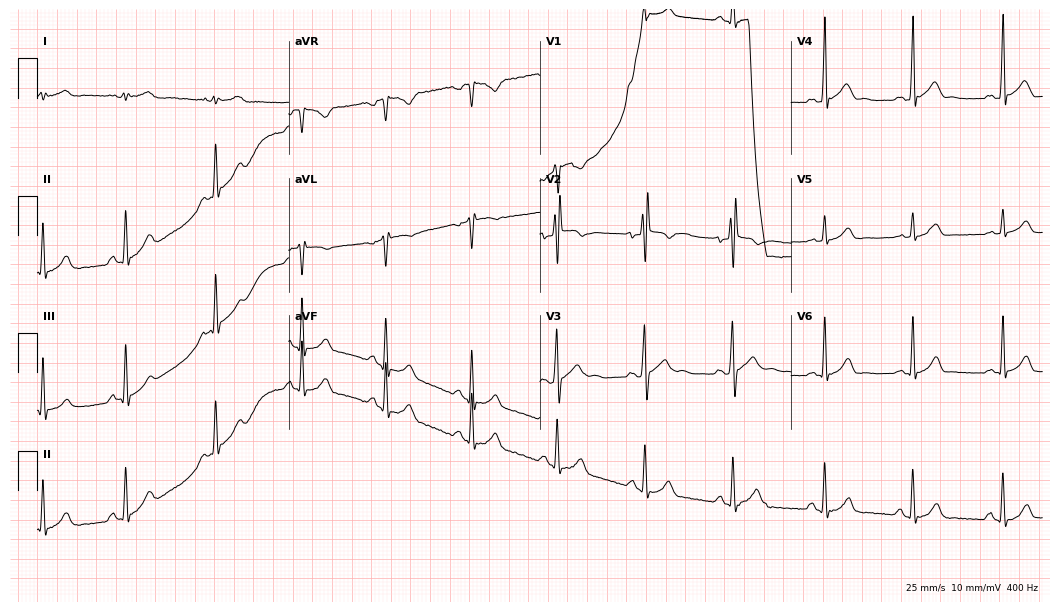
12-lead ECG from a 23-year-old male patient. Screened for six findings — first-degree AV block, right bundle branch block (RBBB), left bundle branch block (LBBB), sinus bradycardia, atrial fibrillation (AF), sinus tachycardia — none is recorded. Only these six findings were labelled.